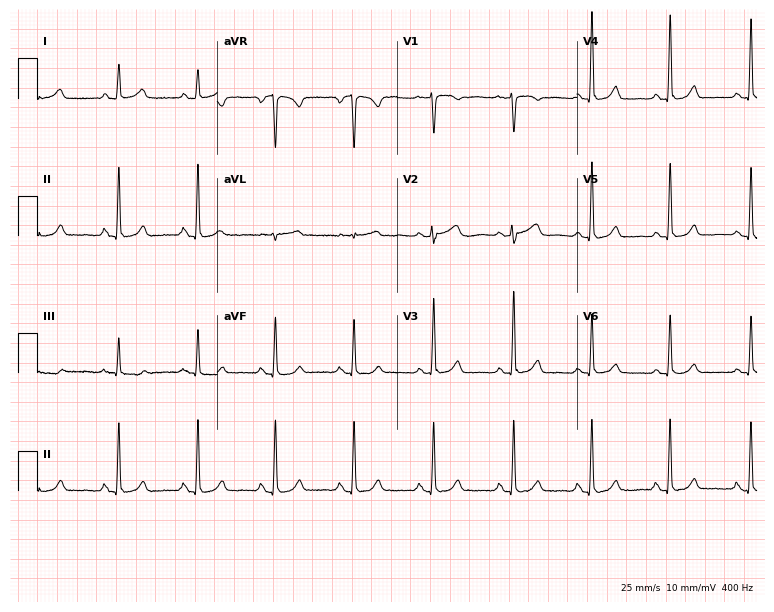
ECG (7.3-second recording at 400 Hz) — a female, 54 years old. Labelled as a normal ECG.